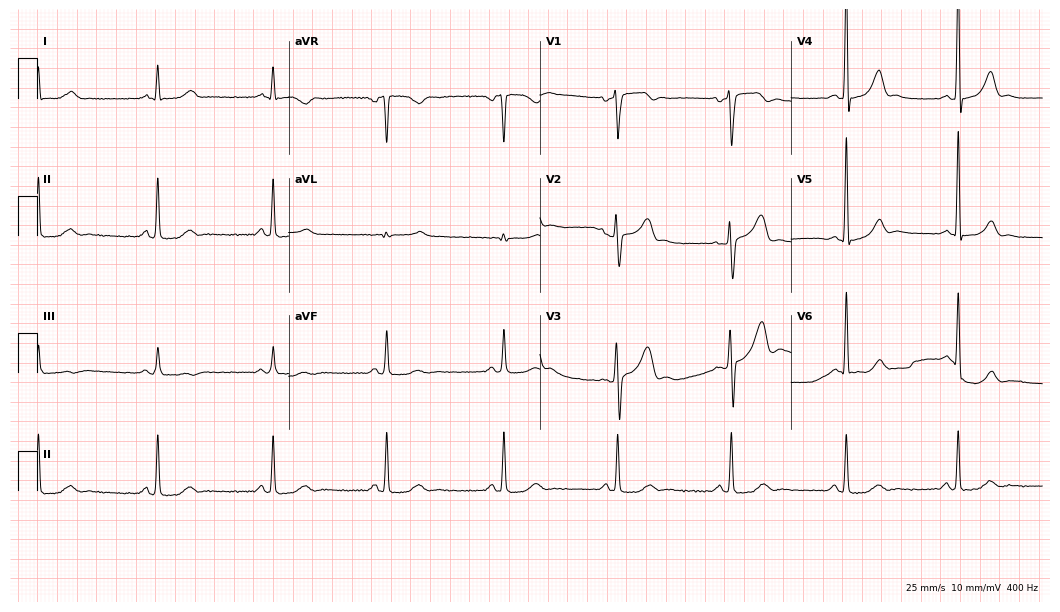
12-lead ECG (10.2-second recording at 400 Hz) from a man, 63 years old. Findings include sinus bradycardia (a sinus rate of 50 beats per minute or less).